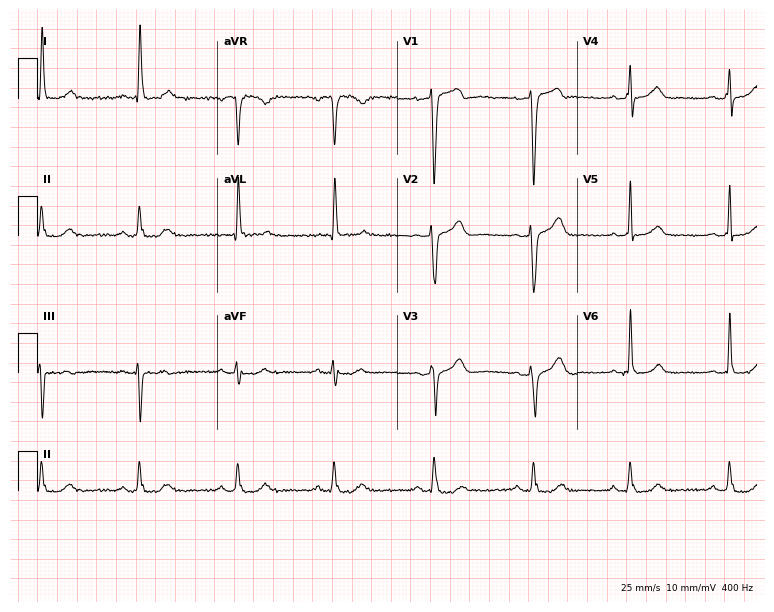
12-lead ECG from a male, 57 years old. Labelled as a normal ECG.